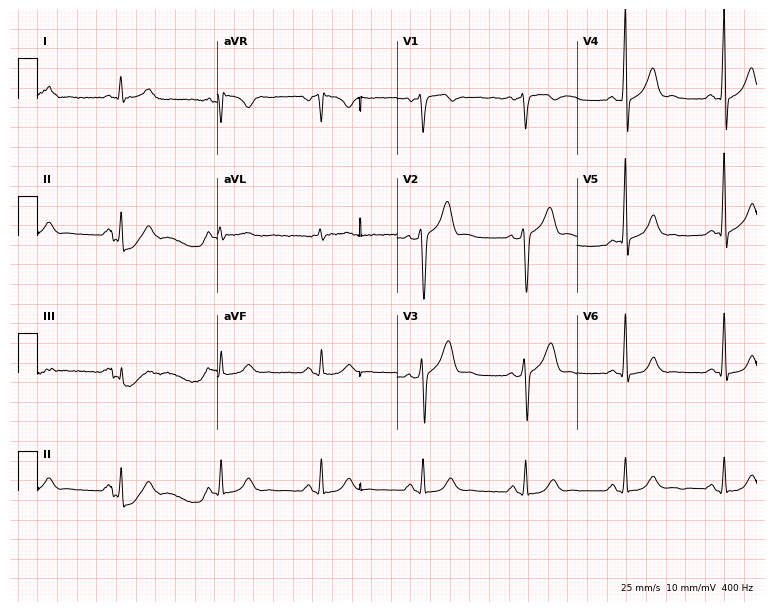
12-lead ECG from a 48-year-old male patient. Screened for six findings — first-degree AV block, right bundle branch block, left bundle branch block, sinus bradycardia, atrial fibrillation, sinus tachycardia — none is recorded. Only these six findings were labelled.